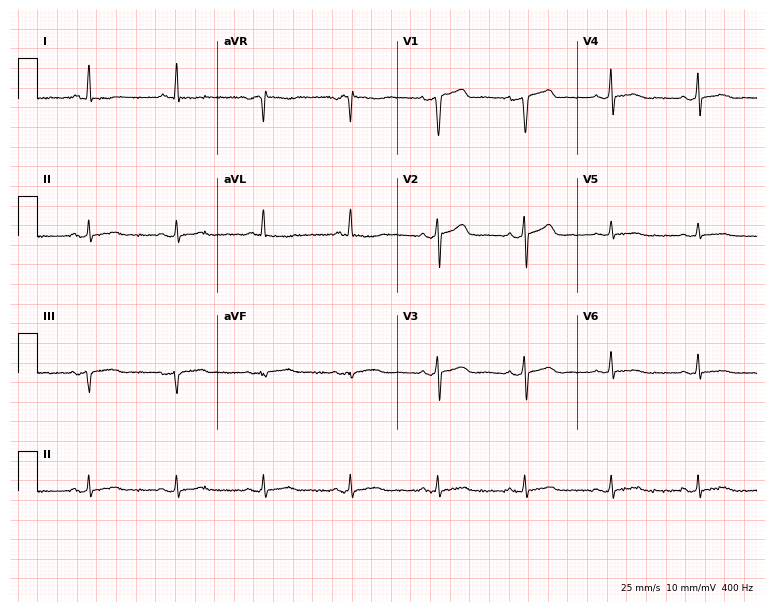
Electrocardiogram (7.3-second recording at 400 Hz), a 76-year-old woman. Overall reading on record: normal ECG.